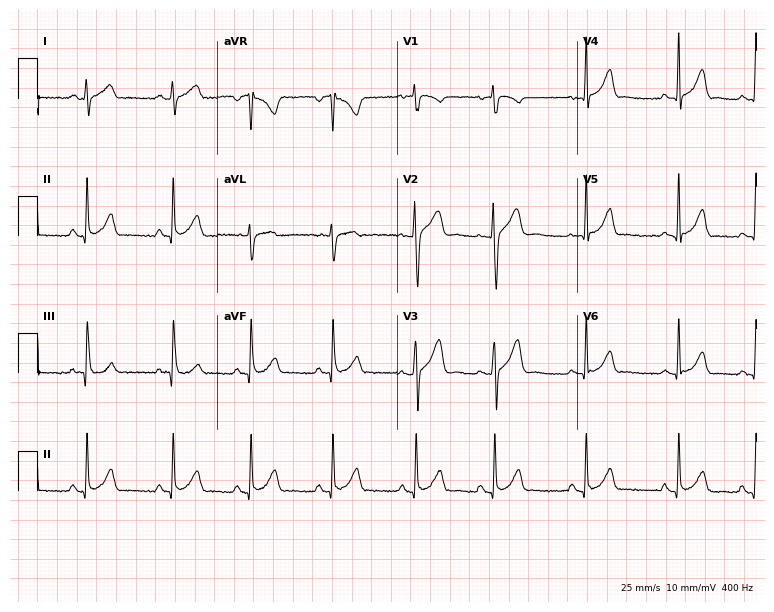
12-lead ECG (7.3-second recording at 400 Hz) from a female patient, 22 years old. Labelled as a normal ECG.